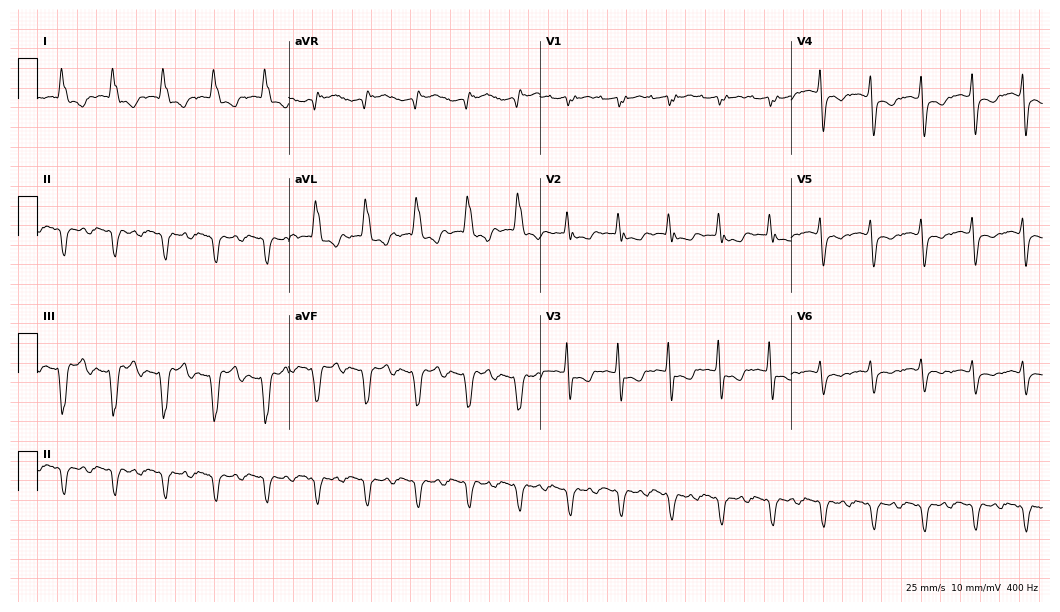
12-lead ECG (10.2-second recording at 400 Hz) from a female, 85 years old. Findings include left bundle branch block (LBBB), sinus tachycardia (a sinus rate of 100 beats per minute or more).